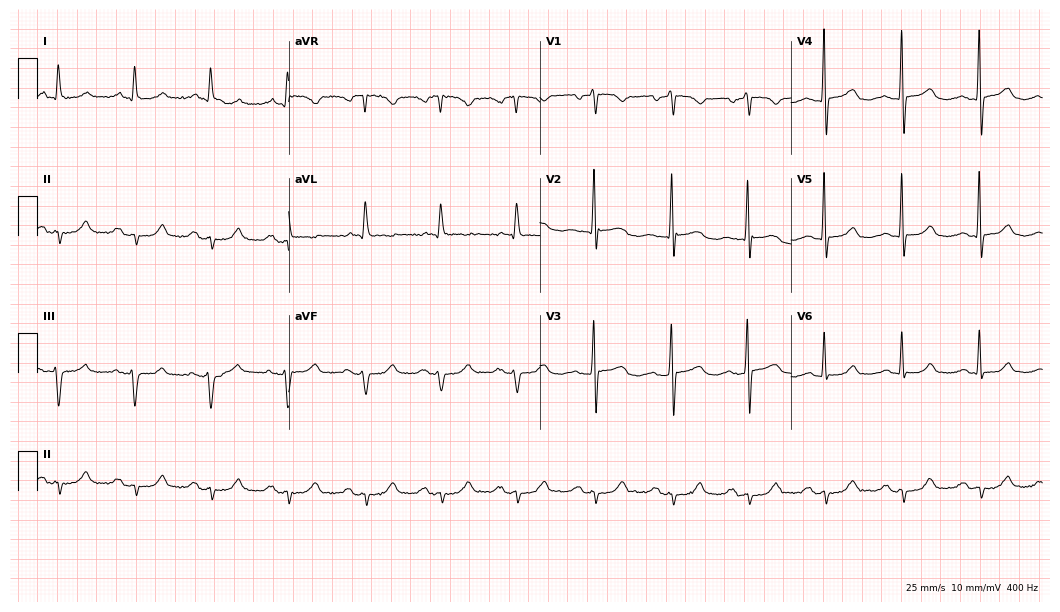
Electrocardiogram (10.2-second recording at 400 Hz), a woman, 72 years old. Of the six screened findings (first-degree AV block, right bundle branch block, left bundle branch block, sinus bradycardia, atrial fibrillation, sinus tachycardia), none is recorded.